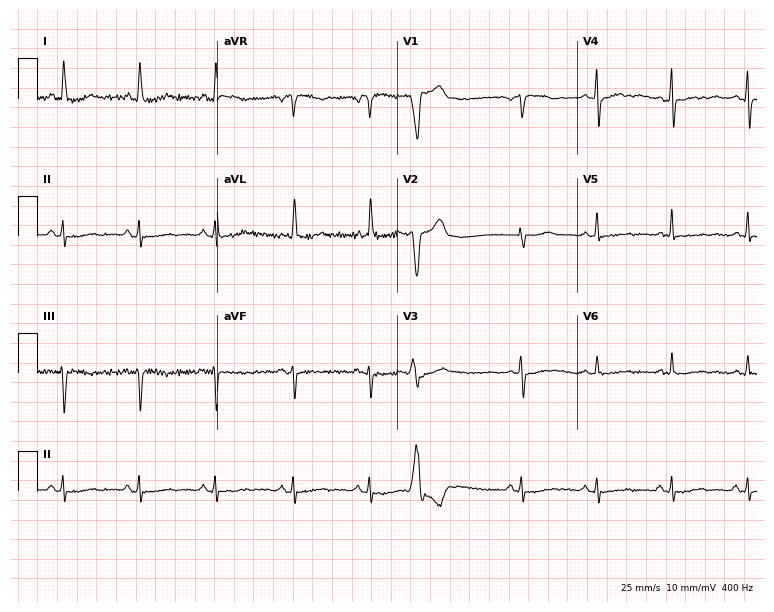
Standard 12-lead ECG recorded from a 75-year-old female (7.3-second recording at 400 Hz). None of these six findings is recorded: first-degree AV block, right bundle branch block, left bundle branch block, sinus bradycardia, atrial fibrillation, sinus tachycardia.